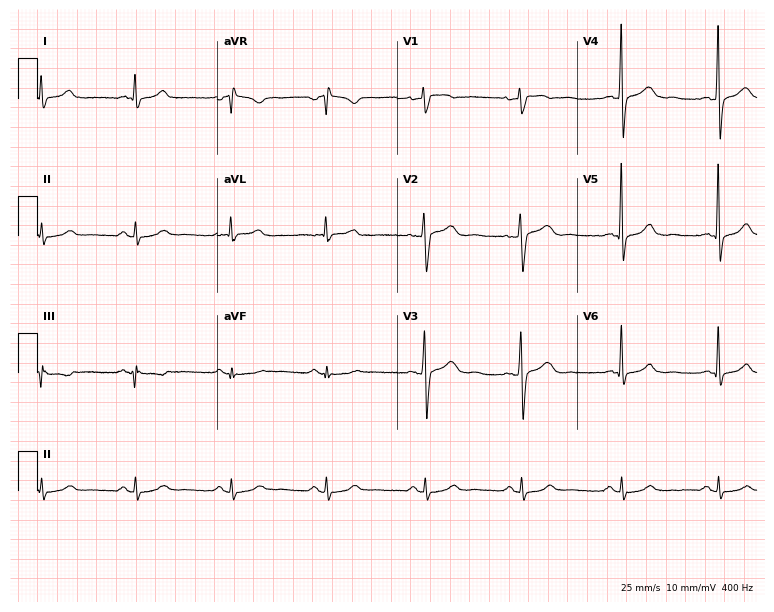
Electrocardiogram, a male, 57 years old. Overall reading on record: normal ECG.